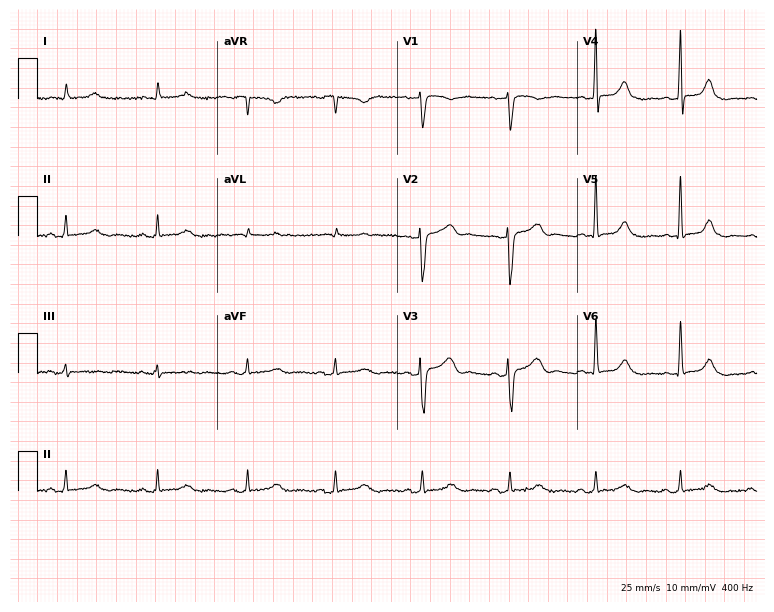
12-lead ECG from a male patient, 79 years old. Recorded interpretation: within normal limits.